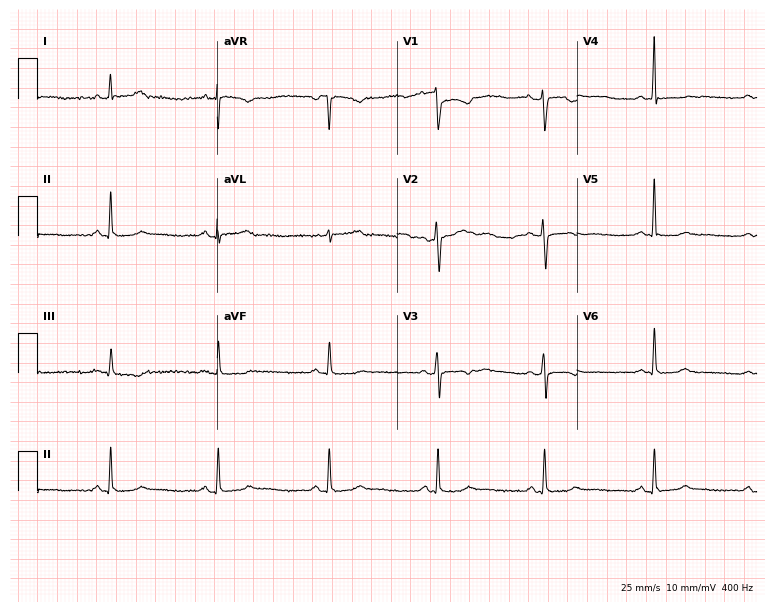
Electrocardiogram (7.3-second recording at 400 Hz), a female patient, 50 years old. Overall reading on record: normal ECG.